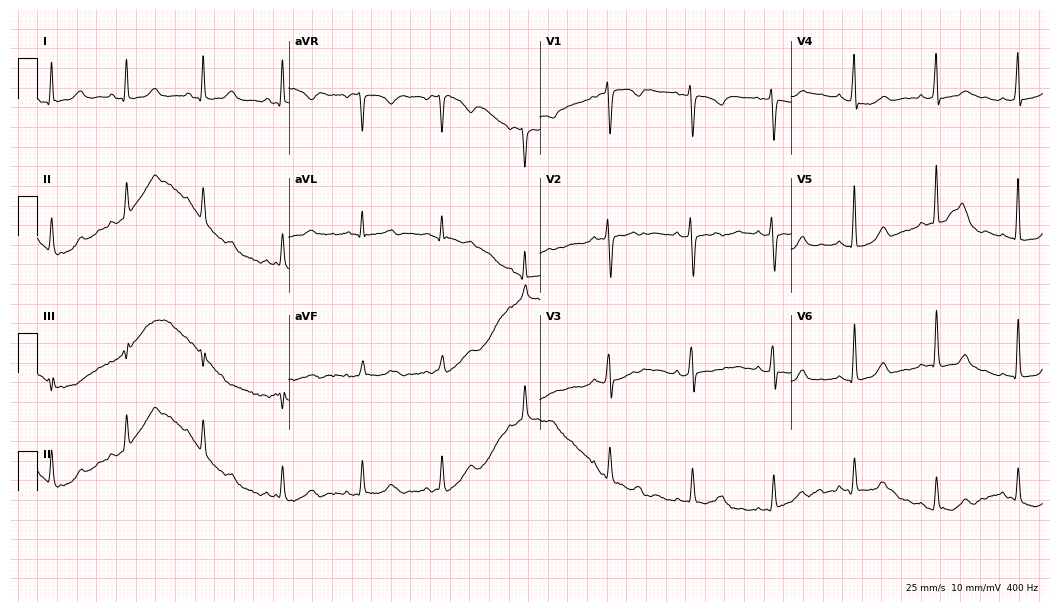
Resting 12-lead electrocardiogram (10.2-second recording at 400 Hz). Patient: a woman, 52 years old. Read as a normal ECG.